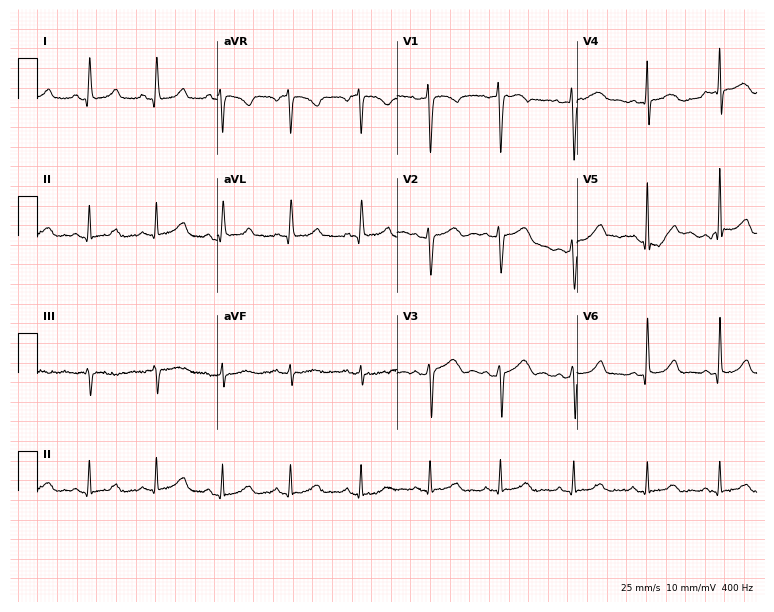
12-lead ECG from a 29-year-old woman. Labelled as a normal ECG.